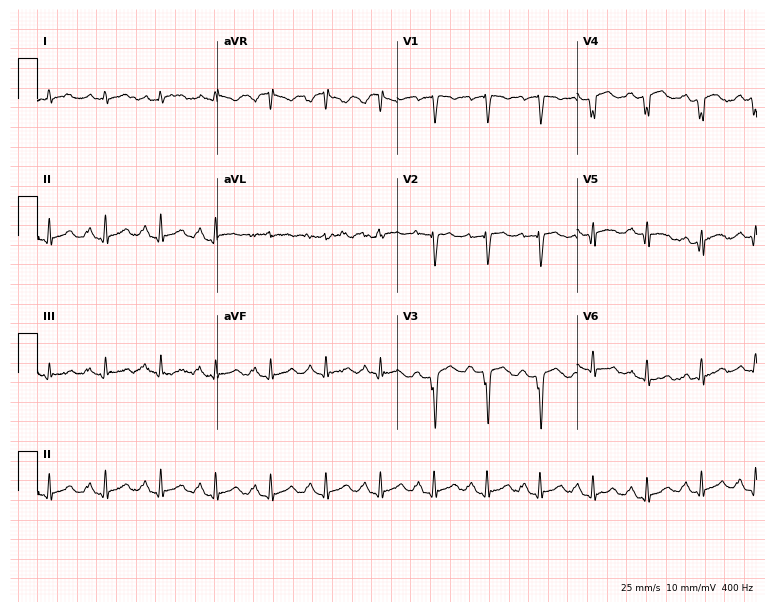
12-lead ECG (7.3-second recording at 400 Hz) from a 65-year-old man. Findings include sinus tachycardia (a sinus rate of 100 beats per minute or more).